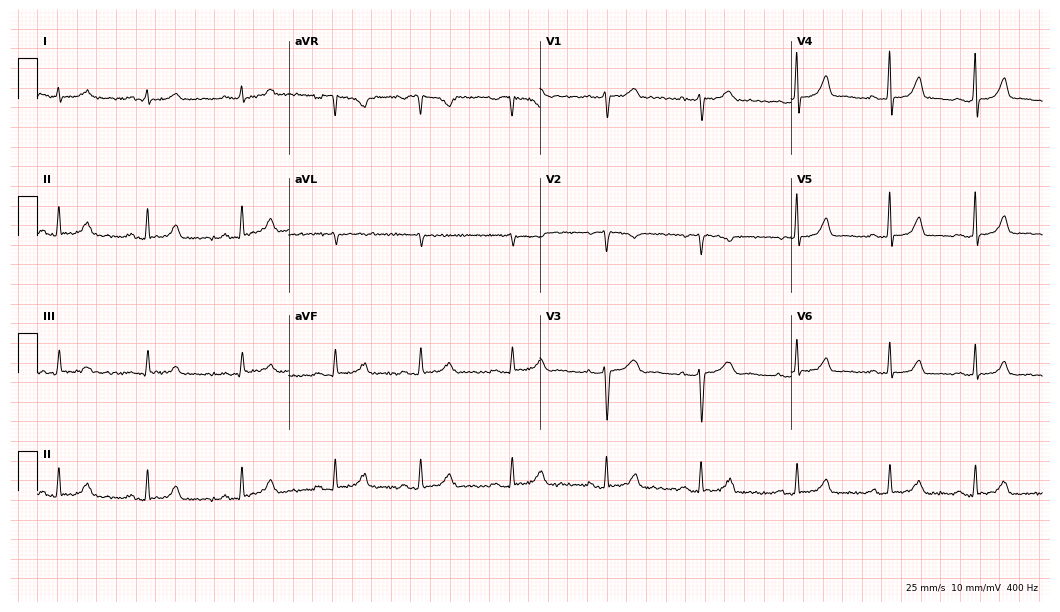
12-lead ECG from a 37-year-old female patient (10.2-second recording at 400 Hz). No first-degree AV block, right bundle branch block (RBBB), left bundle branch block (LBBB), sinus bradycardia, atrial fibrillation (AF) or sinus tachycardia recorded for this tracing. Other findings, if any, are not listed.